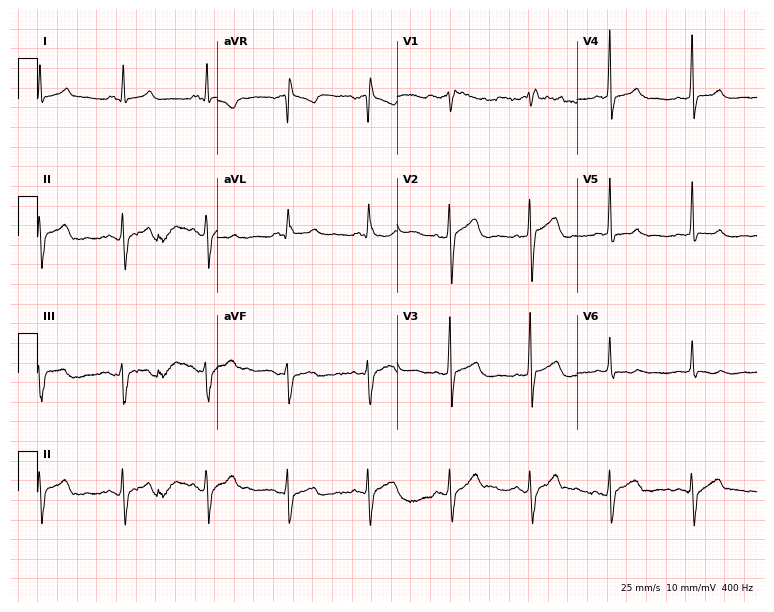
12-lead ECG from a man, 41 years old. No first-degree AV block, right bundle branch block (RBBB), left bundle branch block (LBBB), sinus bradycardia, atrial fibrillation (AF) or sinus tachycardia recorded for this tracing.